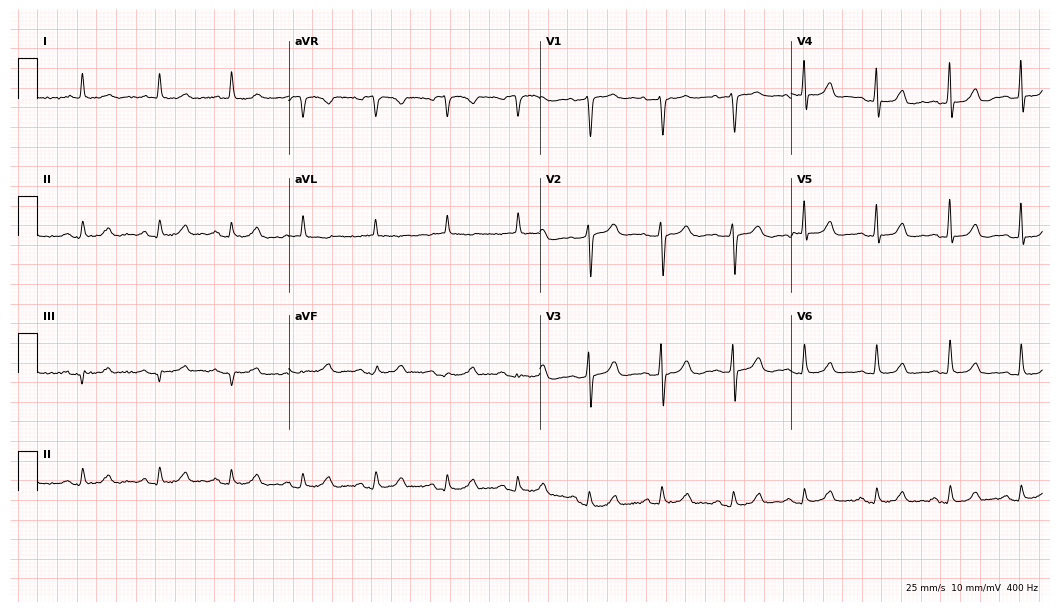
Standard 12-lead ECG recorded from a 72-year-old woman (10.2-second recording at 400 Hz). None of these six findings is recorded: first-degree AV block, right bundle branch block (RBBB), left bundle branch block (LBBB), sinus bradycardia, atrial fibrillation (AF), sinus tachycardia.